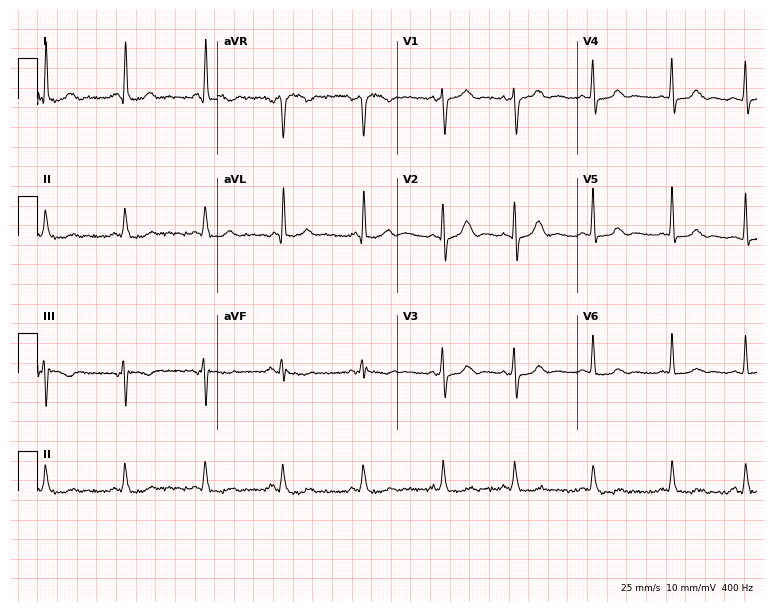
ECG — a woman, 74 years old. Screened for six findings — first-degree AV block, right bundle branch block, left bundle branch block, sinus bradycardia, atrial fibrillation, sinus tachycardia — none is recorded.